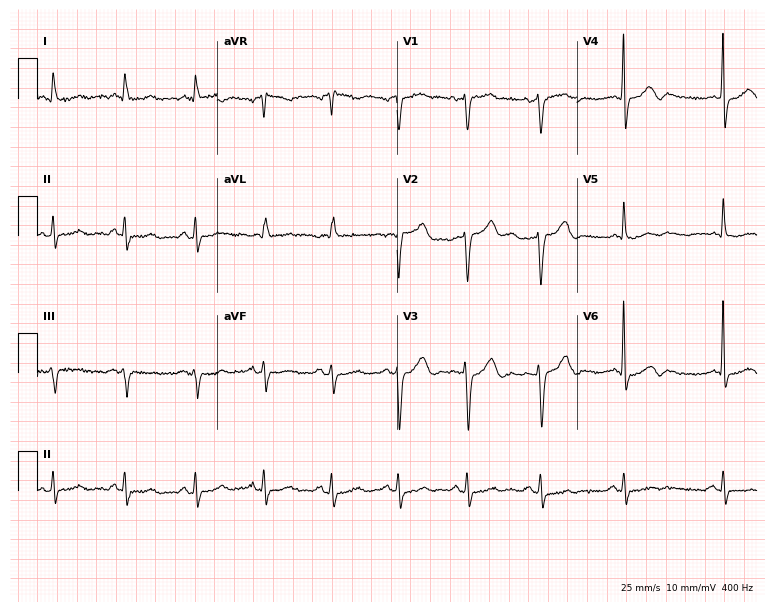
12-lead ECG from an 84-year-old male (7.3-second recording at 400 Hz). No first-degree AV block, right bundle branch block, left bundle branch block, sinus bradycardia, atrial fibrillation or sinus tachycardia recorded for this tracing.